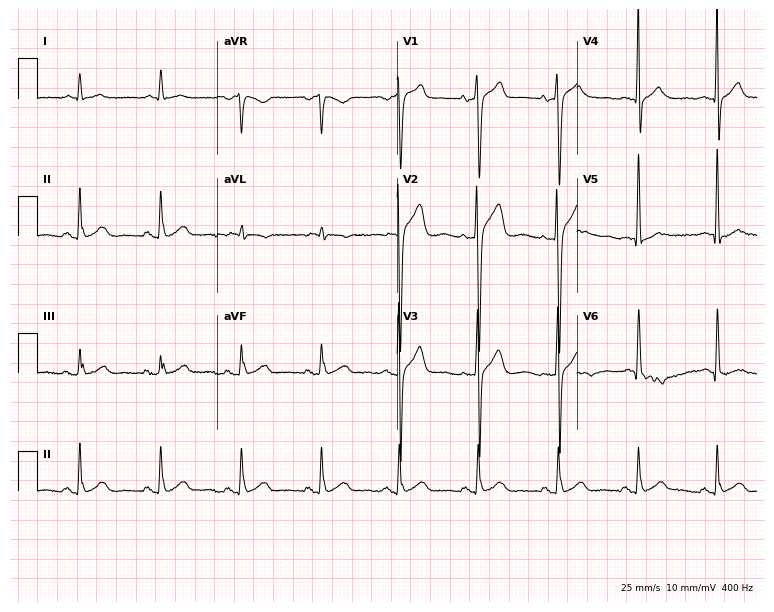
12-lead ECG (7.3-second recording at 400 Hz) from a male patient, 59 years old. Labelled as a normal ECG.